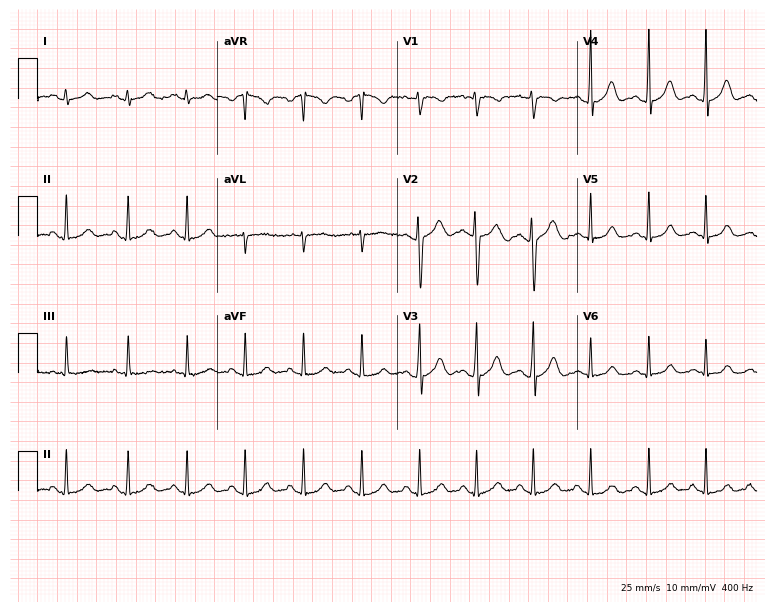
12-lead ECG (7.3-second recording at 400 Hz) from a female patient, 23 years old. Labelled as a normal ECG.